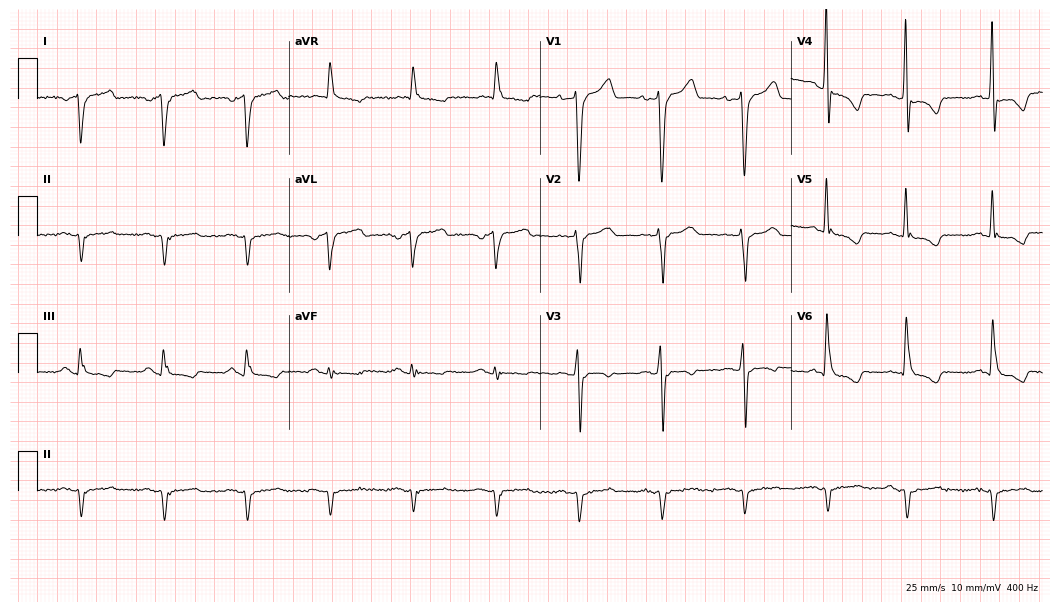
Resting 12-lead electrocardiogram. Patient: an 85-year-old male. None of these six findings is recorded: first-degree AV block, right bundle branch block, left bundle branch block, sinus bradycardia, atrial fibrillation, sinus tachycardia. Only these six findings were labelled.